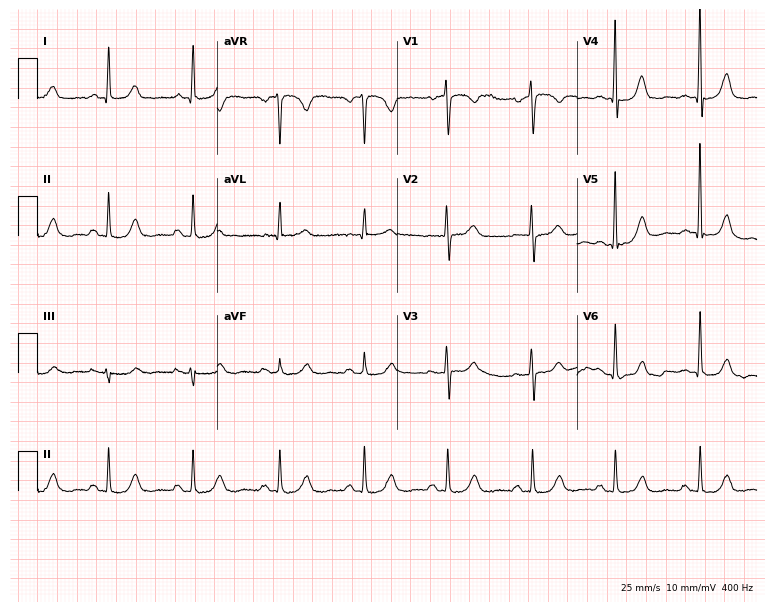
Resting 12-lead electrocardiogram. Patient: a 77-year-old woman. Read as a normal ECG.